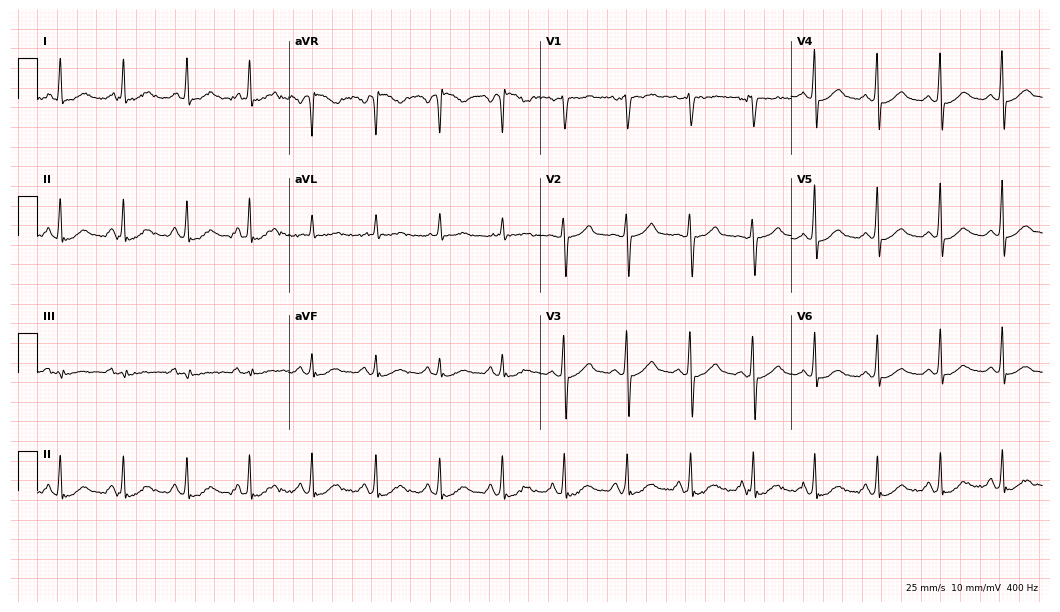
12-lead ECG from a female patient, 81 years old. No first-degree AV block, right bundle branch block (RBBB), left bundle branch block (LBBB), sinus bradycardia, atrial fibrillation (AF) or sinus tachycardia recorded for this tracing. Other findings, if any, are not listed.